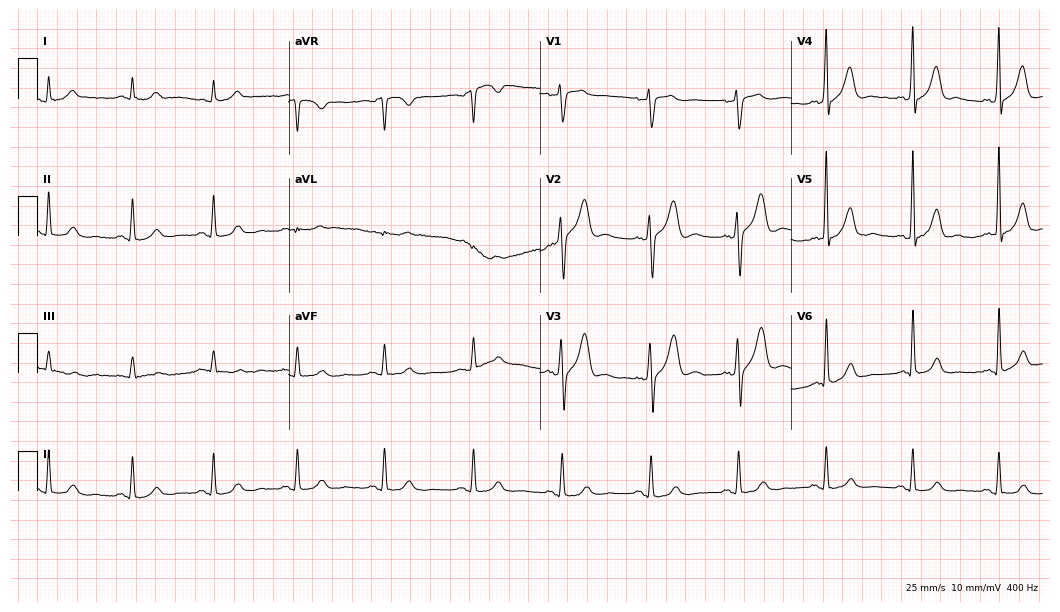
12-lead ECG (10.2-second recording at 400 Hz) from a man, 47 years old. Labelled as a normal ECG.